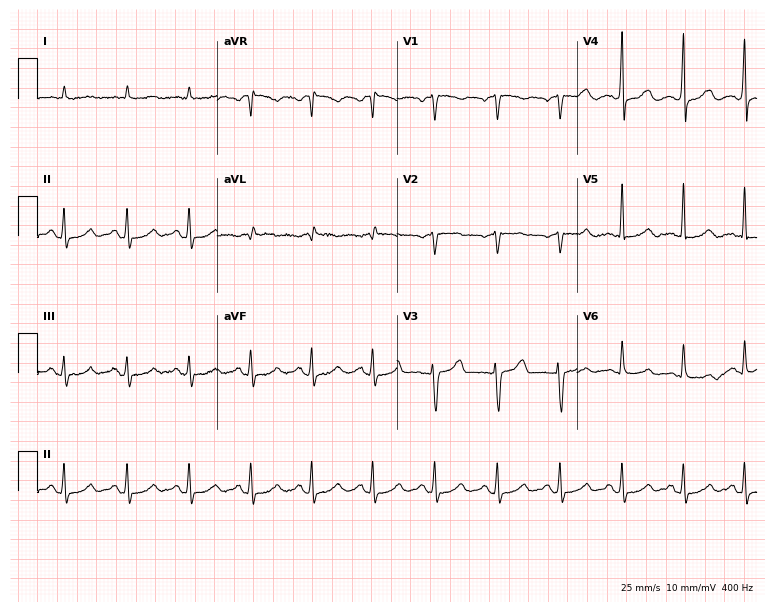
Resting 12-lead electrocardiogram. Patient: a man, 59 years old. None of these six findings is recorded: first-degree AV block, right bundle branch block (RBBB), left bundle branch block (LBBB), sinus bradycardia, atrial fibrillation (AF), sinus tachycardia. Findings outside these six are not listed.